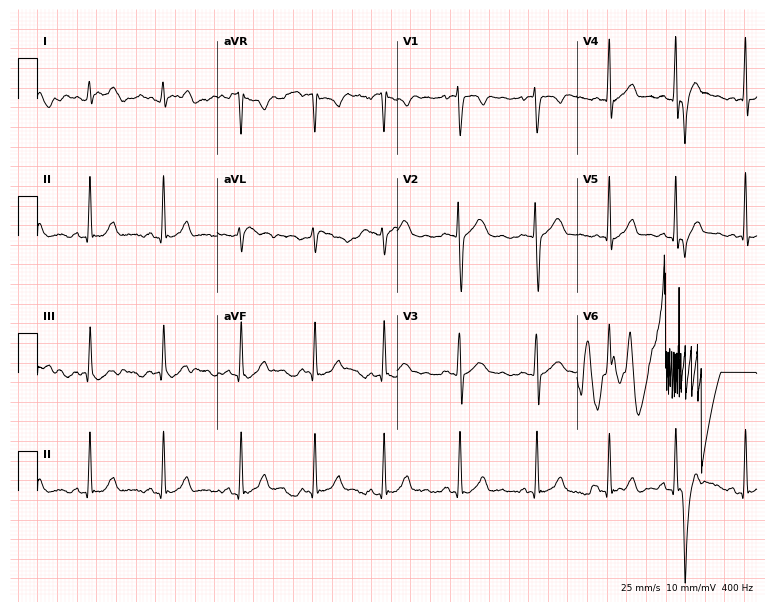
ECG (7.3-second recording at 400 Hz) — a 27-year-old female patient. Screened for six findings — first-degree AV block, right bundle branch block (RBBB), left bundle branch block (LBBB), sinus bradycardia, atrial fibrillation (AF), sinus tachycardia — none is recorded.